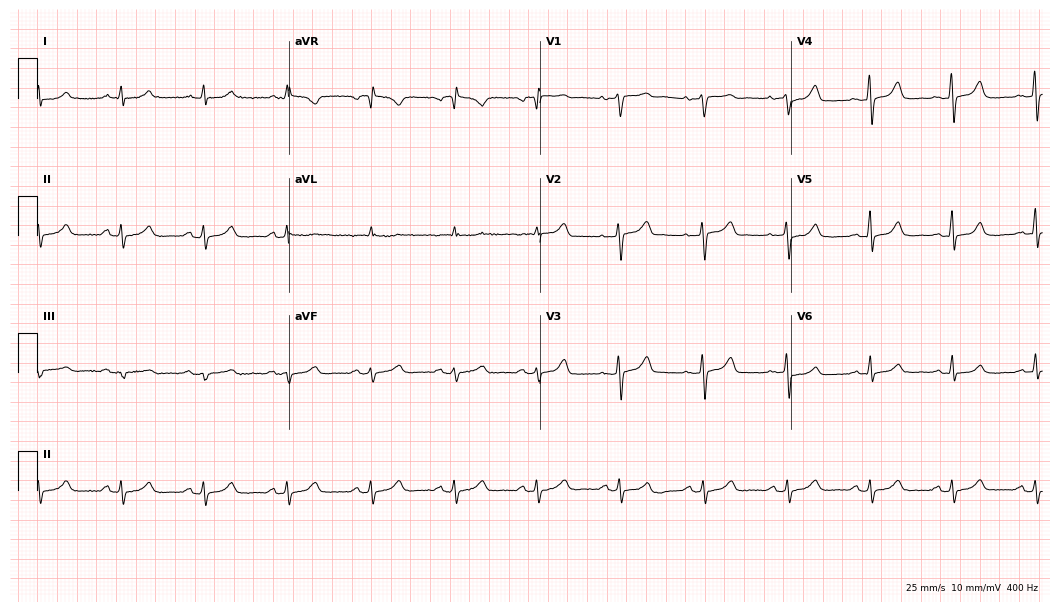
12-lead ECG (10.2-second recording at 400 Hz) from a 70-year-old woman. Labelled as a normal ECG.